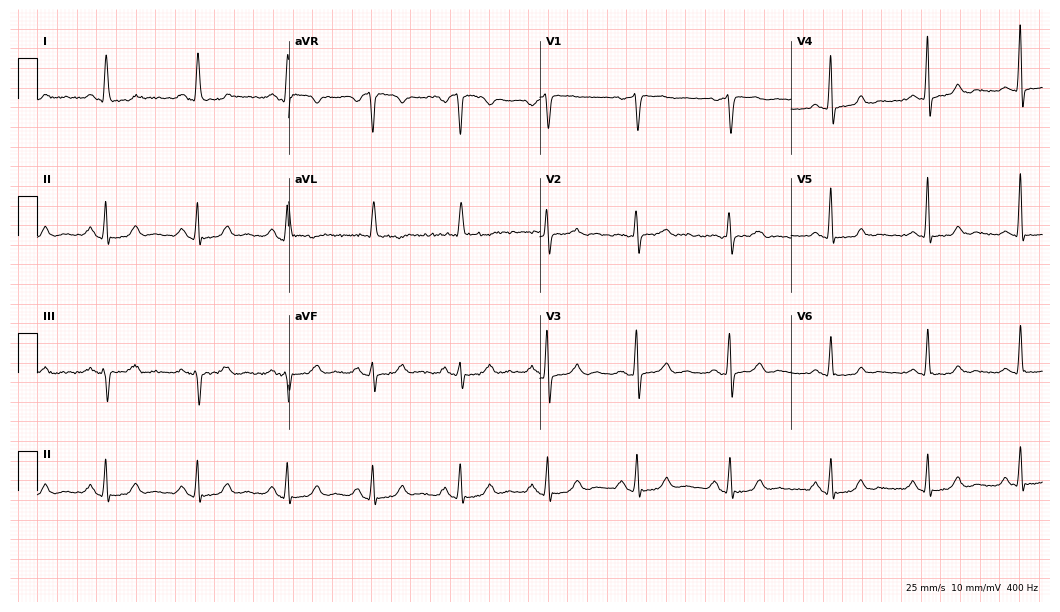
Electrocardiogram (10.2-second recording at 400 Hz), a 54-year-old female patient. Of the six screened findings (first-degree AV block, right bundle branch block (RBBB), left bundle branch block (LBBB), sinus bradycardia, atrial fibrillation (AF), sinus tachycardia), none is recorded. Other findings, if any, are not listed.